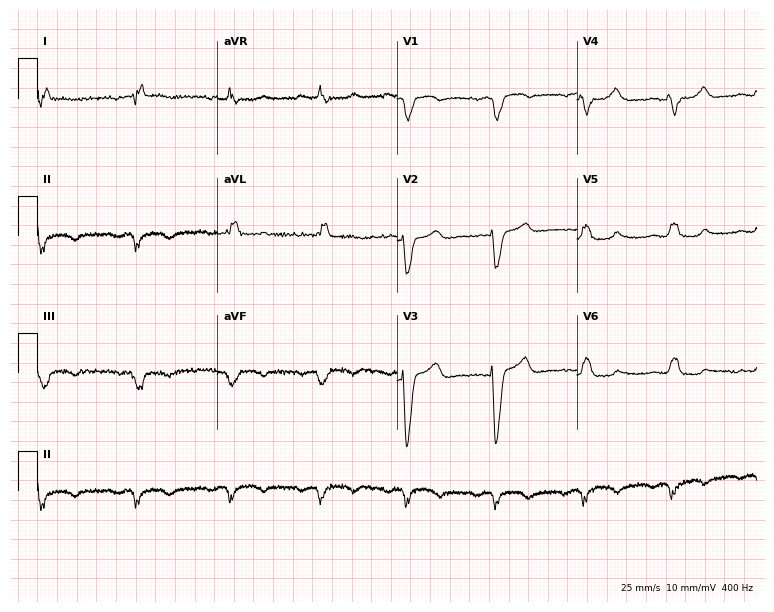
12-lead ECG from a 78-year-old female. Screened for six findings — first-degree AV block, right bundle branch block, left bundle branch block, sinus bradycardia, atrial fibrillation, sinus tachycardia — none is recorded. Findings outside these six are not listed.